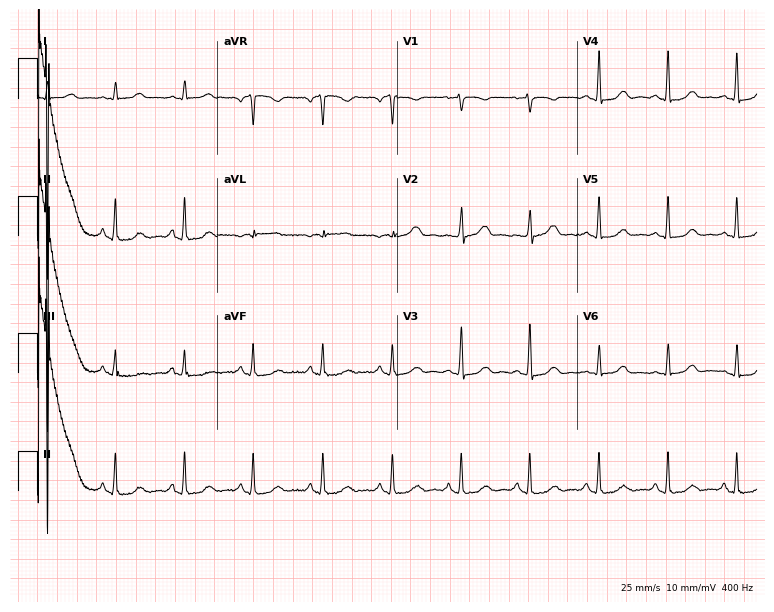
12-lead ECG (7.3-second recording at 400 Hz) from a female patient, 49 years old. Labelled as a normal ECG.